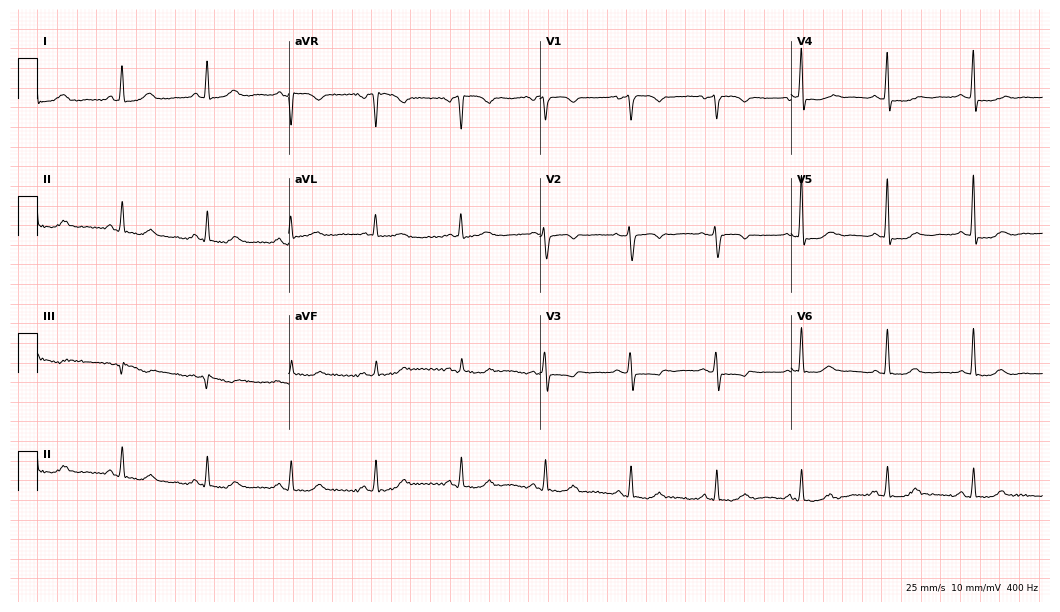
12-lead ECG from a woman, 66 years old (10.2-second recording at 400 Hz). No first-degree AV block, right bundle branch block (RBBB), left bundle branch block (LBBB), sinus bradycardia, atrial fibrillation (AF) or sinus tachycardia recorded for this tracing.